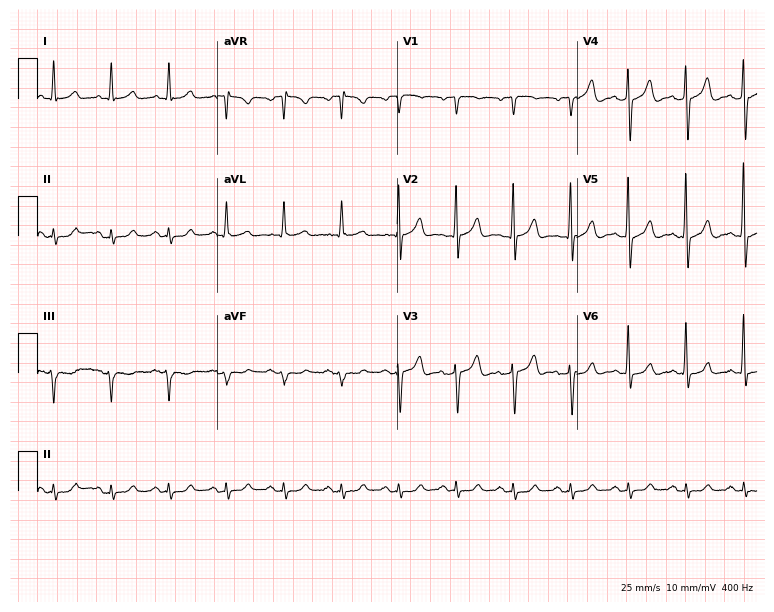
12-lead ECG from a male patient aged 90 or older. Shows sinus tachycardia (a sinus rate of 100 beats per minute or more).